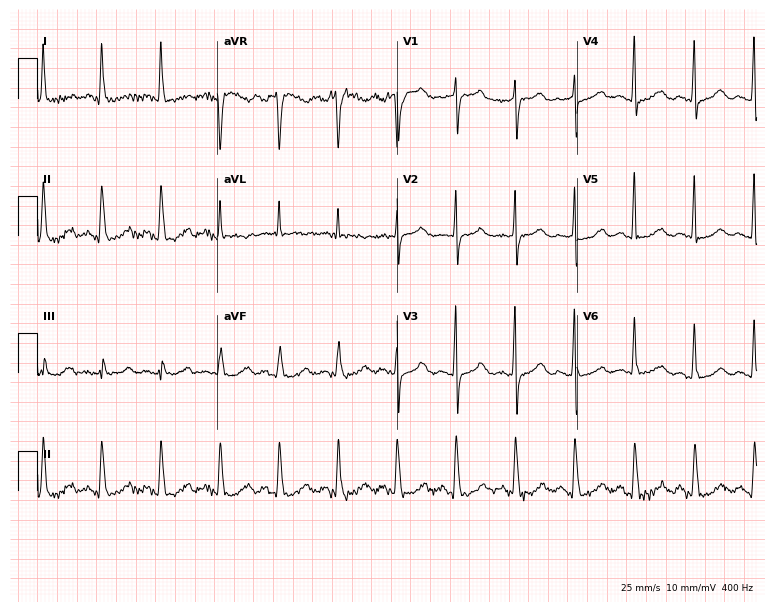
ECG — a 62-year-old female patient. Screened for six findings — first-degree AV block, right bundle branch block (RBBB), left bundle branch block (LBBB), sinus bradycardia, atrial fibrillation (AF), sinus tachycardia — none is recorded. Other findings, if any, are not listed.